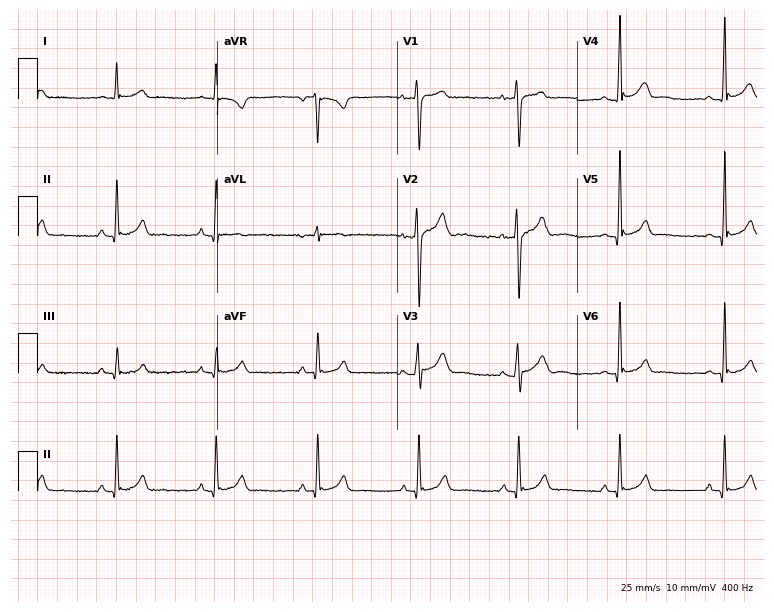
ECG (7.3-second recording at 400 Hz) — a man, 19 years old. Labelled as a normal ECG.